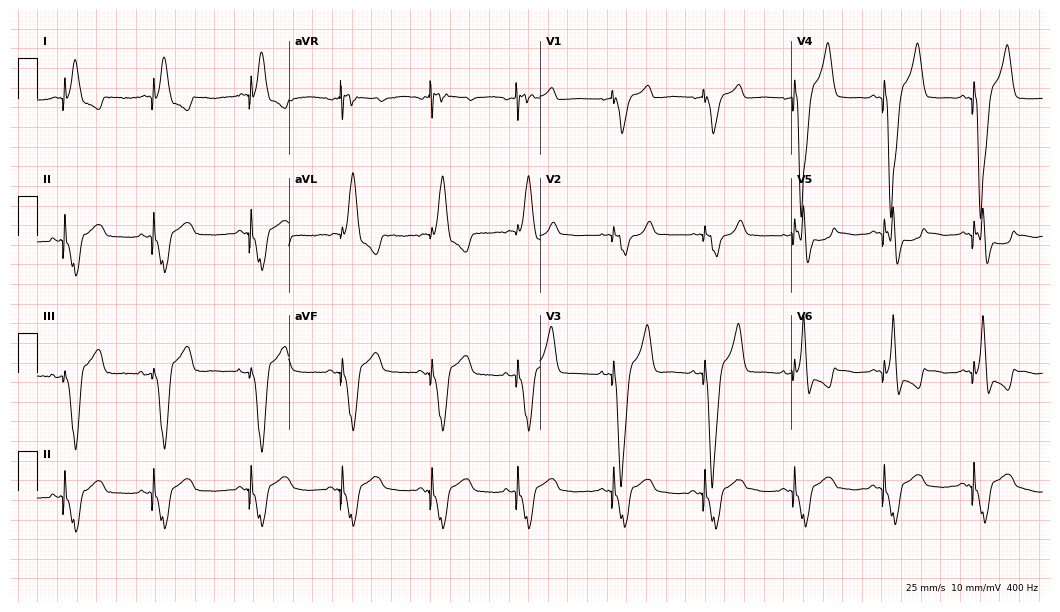
12-lead ECG from a female patient, 81 years old (10.2-second recording at 400 Hz). No first-degree AV block, right bundle branch block, left bundle branch block, sinus bradycardia, atrial fibrillation or sinus tachycardia recorded for this tracing. Findings outside these six are not listed.